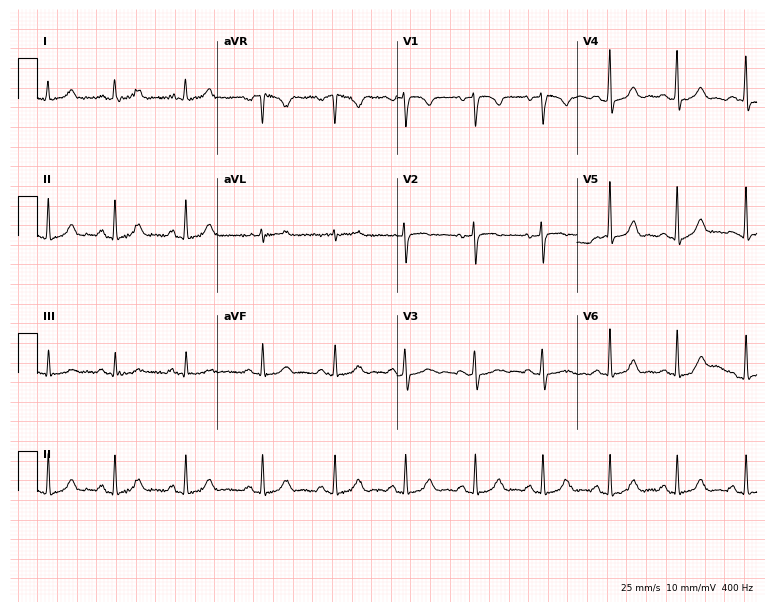
Electrocardiogram (7.3-second recording at 400 Hz), a 32-year-old female. Overall reading on record: normal ECG.